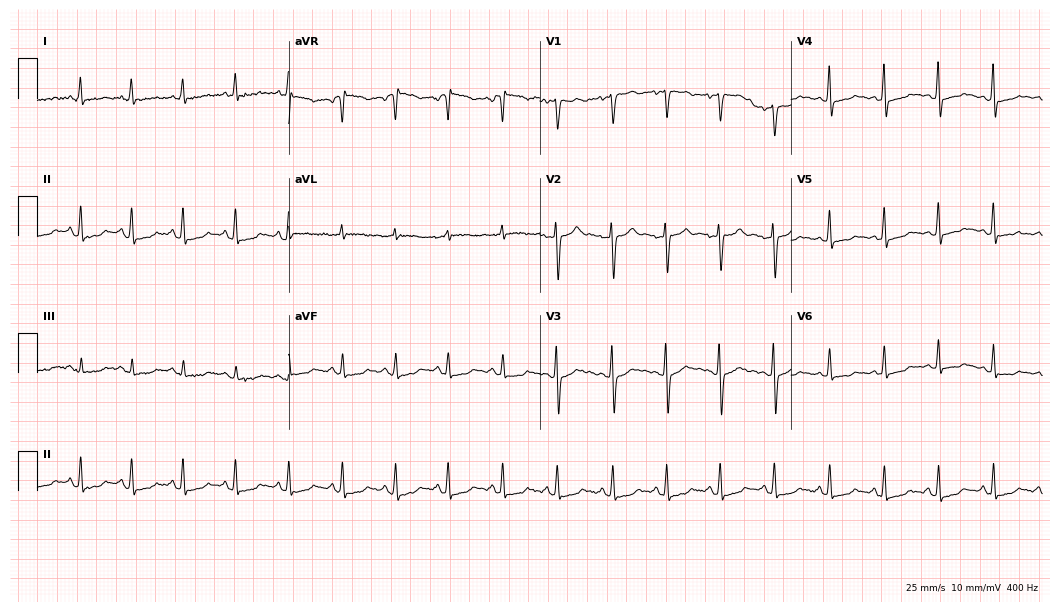
ECG (10.2-second recording at 400 Hz) — a female, 40 years old. Screened for six findings — first-degree AV block, right bundle branch block, left bundle branch block, sinus bradycardia, atrial fibrillation, sinus tachycardia — none is recorded. Only these six findings were labelled.